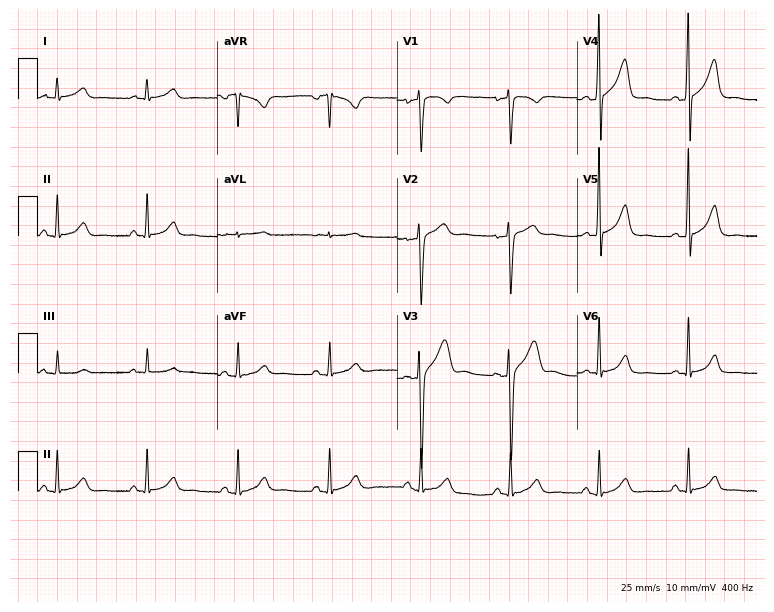
Electrocardiogram, a 58-year-old male patient. Overall reading on record: normal ECG.